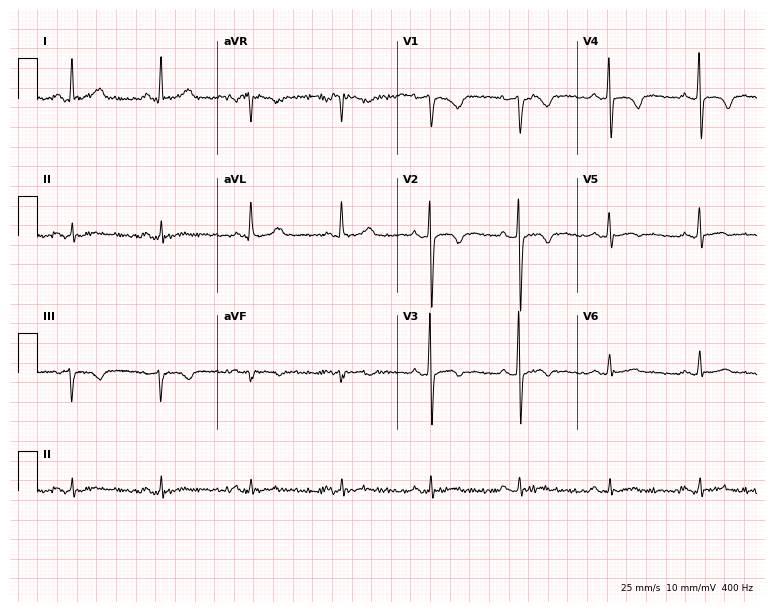
Standard 12-lead ECG recorded from a male, 41 years old (7.3-second recording at 400 Hz). None of these six findings is recorded: first-degree AV block, right bundle branch block, left bundle branch block, sinus bradycardia, atrial fibrillation, sinus tachycardia. Findings outside these six are not listed.